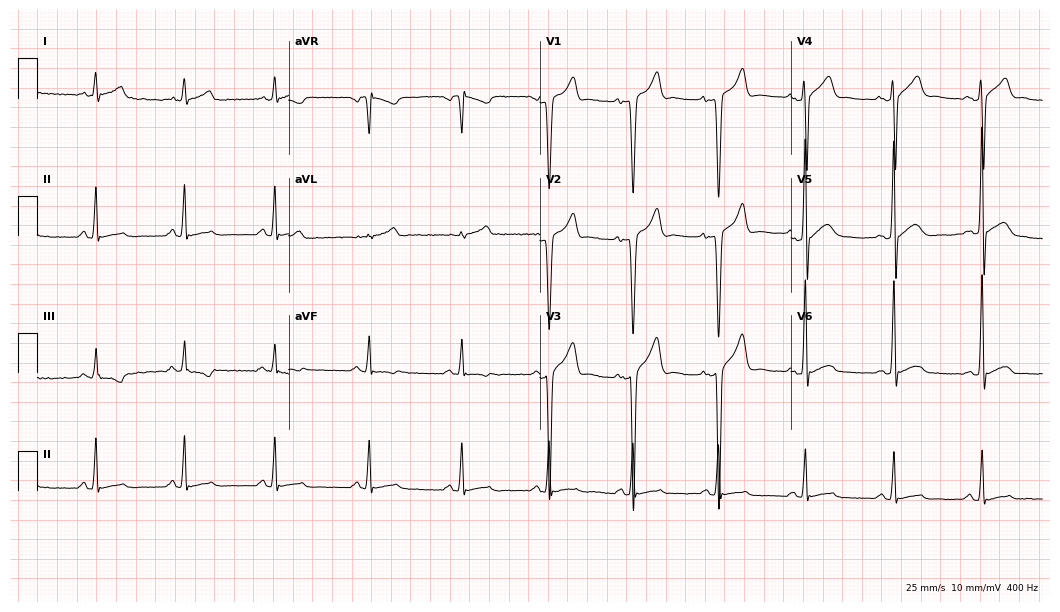
ECG — a male patient, 33 years old. Labelled as a normal ECG.